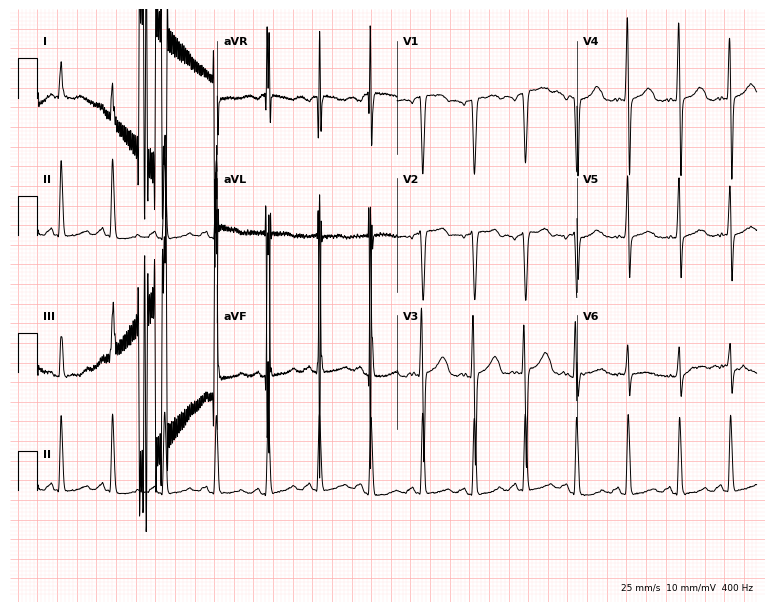
Standard 12-lead ECG recorded from a male, 83 years old. The tracing shows sinus tachycardia (a sinus rate of 100 beats per minute or more).